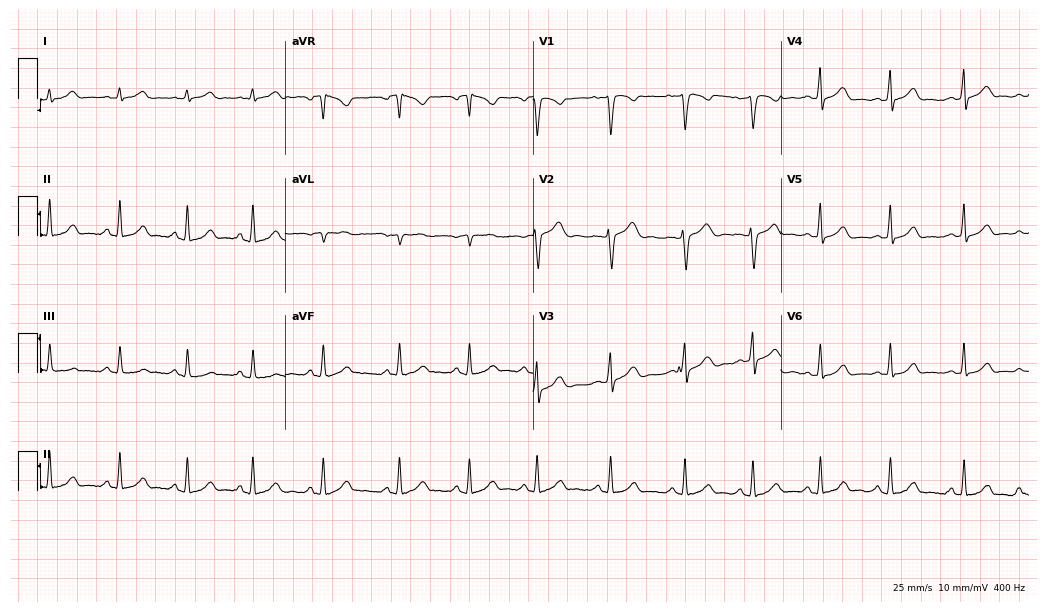
Resting 12-lead electrocardiogram. Patient: a 29-year-old woman. Read as a normal ECG.